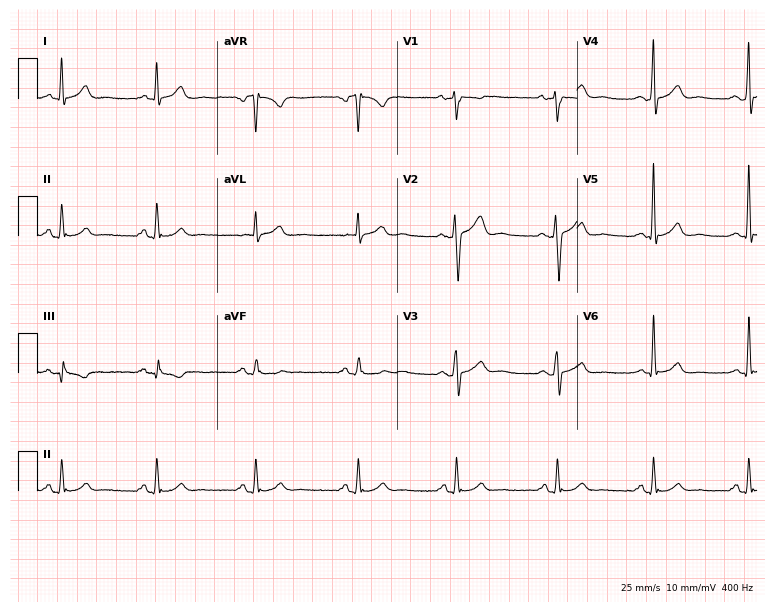
Resting 12-lead electrocardiogram (7.3-second recording at 400 Hz). Patient: a male, 44 years old. None of these six findings is recorded: first-degree AV block, right bundle branch block (RBBB), left bundle branch block (LBBB), sinus bradycardia, atrial fibrillation (AF), sinus tachycardia.